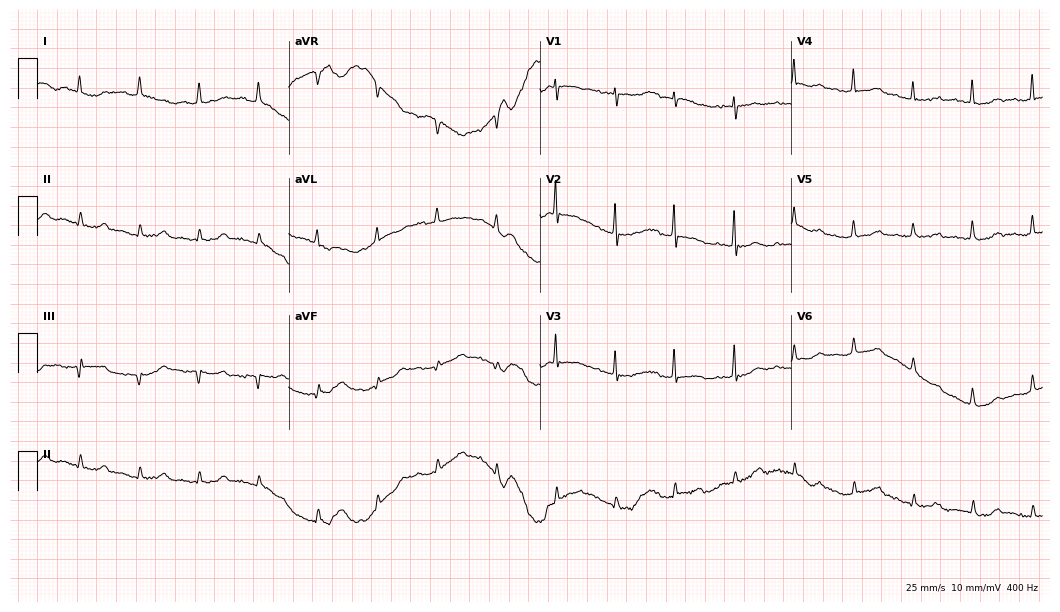
ECG — a female patient, 23 years old. Screened for six findings — first-degree AV block, right bundle branch block (RBBB), left bundle branch block (LBBB), sinus bradycardia, atrial fibrillation (AF), sinus tachycardia — none is recorded.